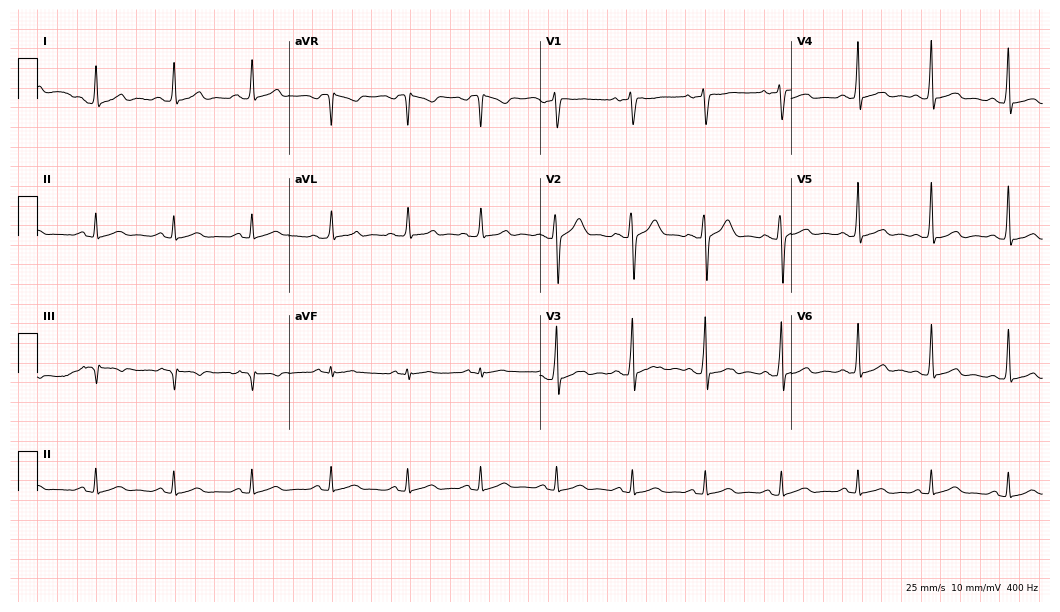
Resting 12-lead electrocardiogram (10.2-second recording at 400 Hz). Patient: a 46-year-old man. Read as a normal ECG.